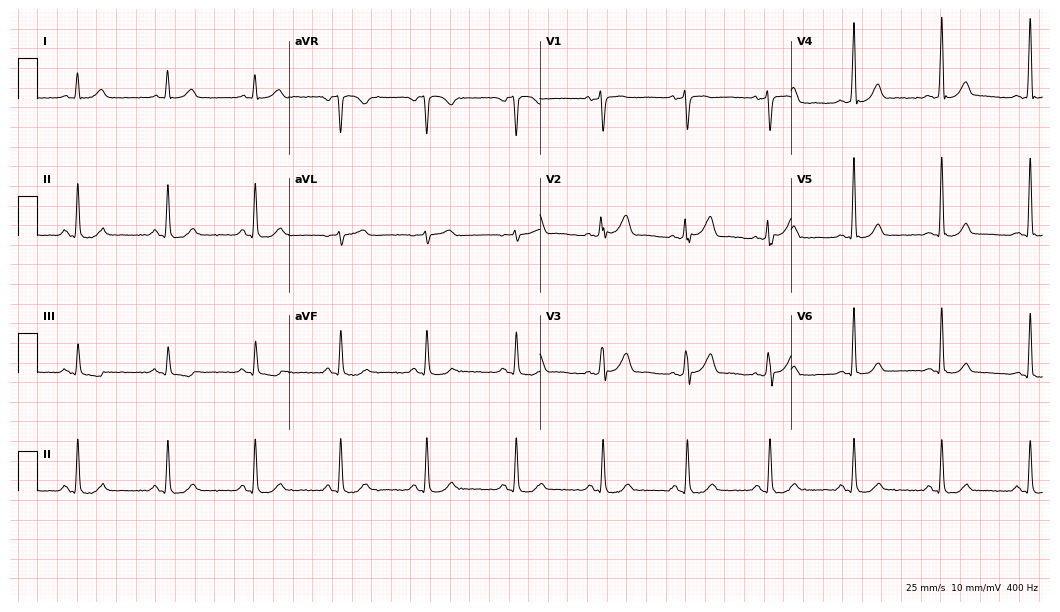
Resting 12-lead electrocardiogram (10.2-second recording at 400 Hz). Patient: a 50-year-old male. Read as a normal ECG.